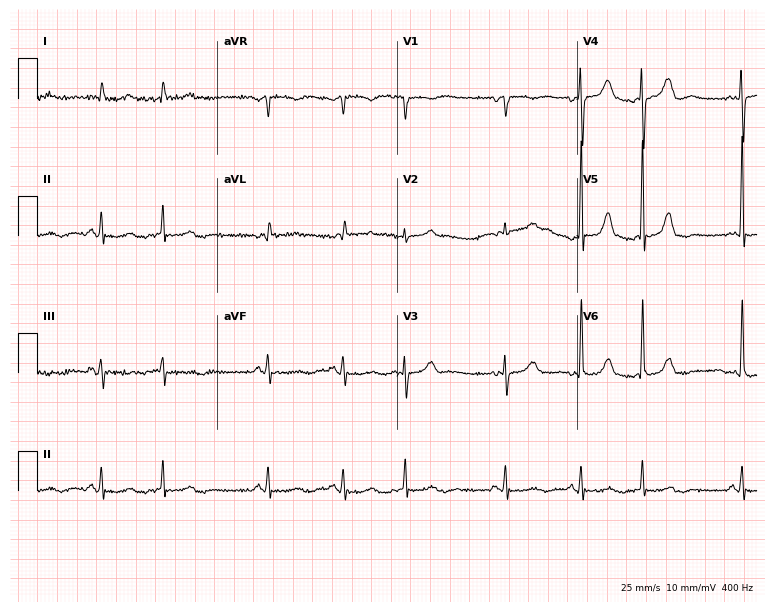
Electrocardiogram, a female patient, 67 years old. Of the six screened findings (first-degree AV block, right bundle branch block, left bundle branch block, sinus bradycardia, atrial fibrillation, sinus tachycardia), none is recorded. Only these six findings were labelled.